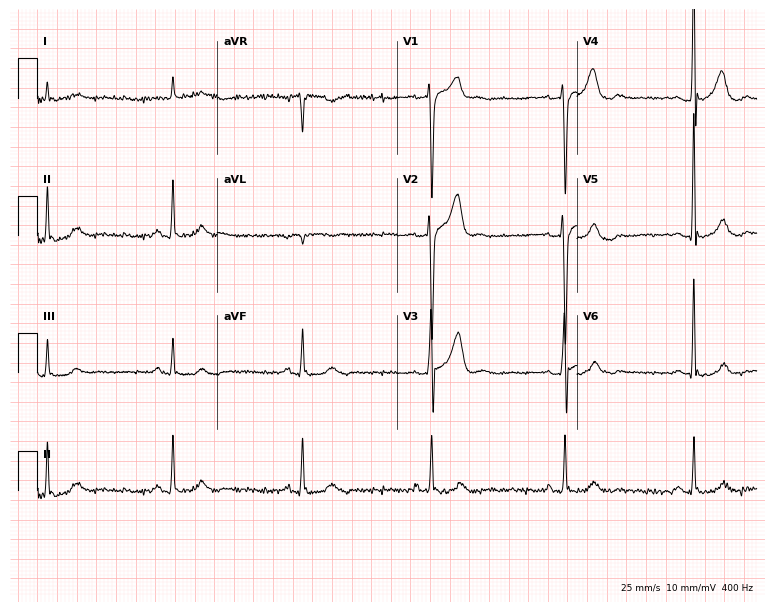
Standard 12-lead ECG recorded from a male patient, 59 years old. The tracing shows sinus bradycardia (a sinus rate of 50 beats per minute or less).